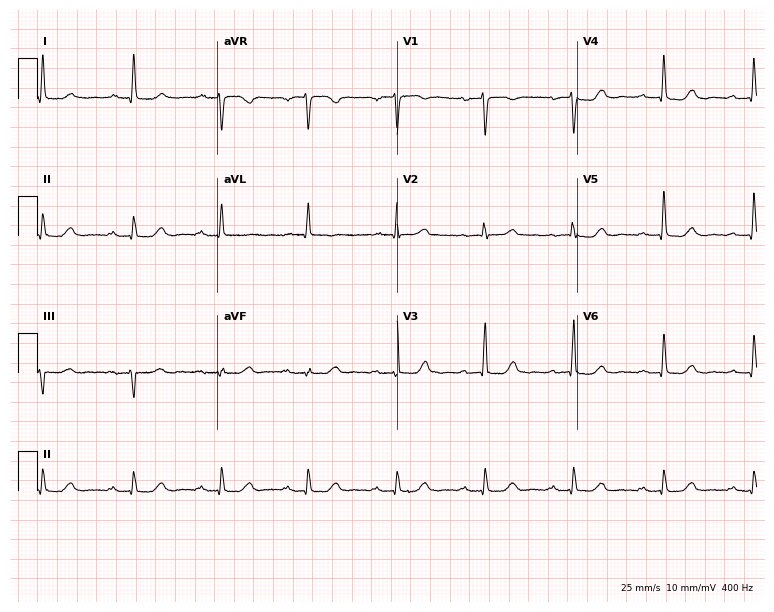
Resting 12-lead electrocardiogram. Patient: a female, 71 years old. The tracing shows first-degree AV block.